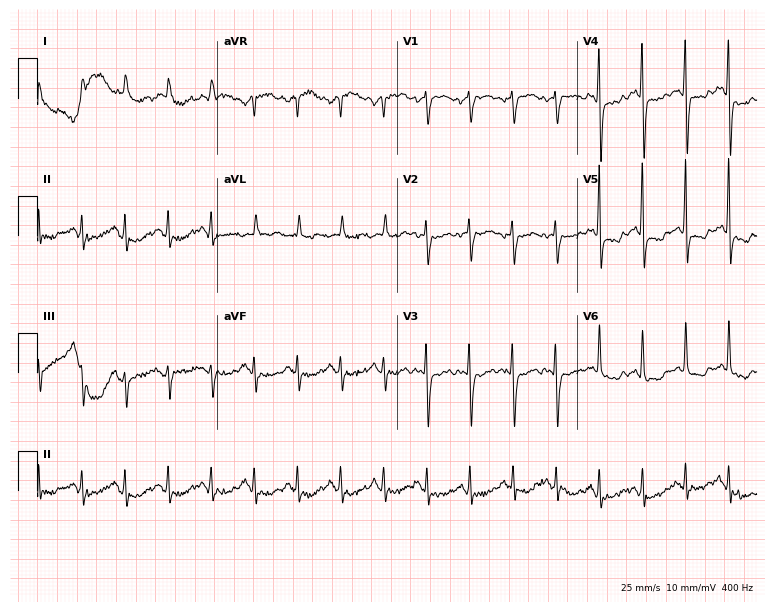
Resting 12-lead electrocardiogram (7.3-second recording at 400 Hz). Patient: an 82-year-old woman. None of these six findings is recorded: first-degree AV block, right bundle branch block, left bundle branch block, sinus bradycardia, atrial fibrillation, sinus tachycardia.